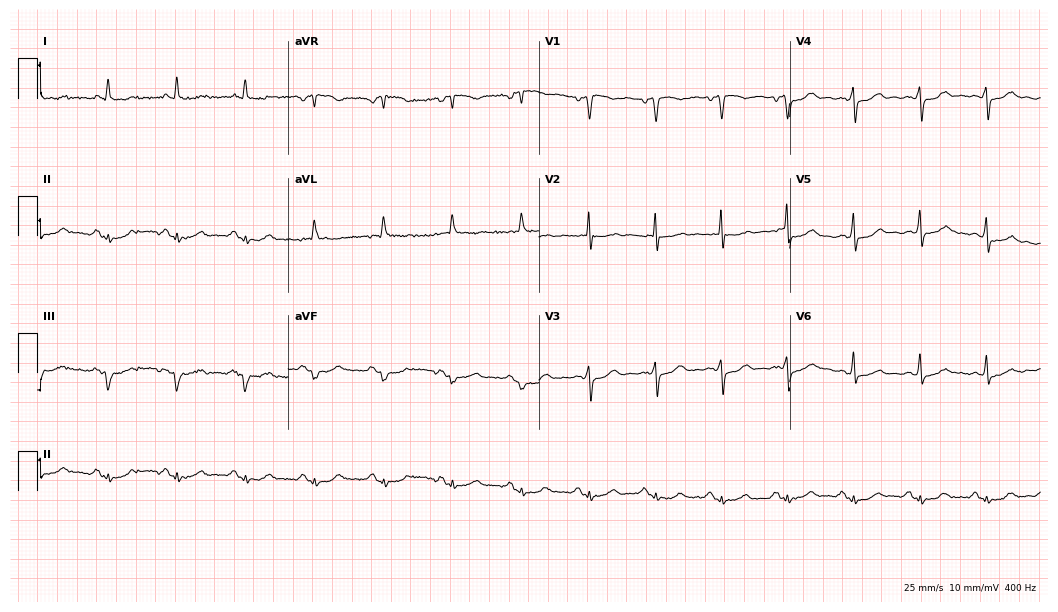
Electrocardiogram, a 59-year-old man. Of the six screened findings (first-degree AV block, right bundle branch block, left bundle branch block, sinus bradycardia, atrial fibrillation, sinus tachycardia), none is recorded. Findings outside these six are not listed.